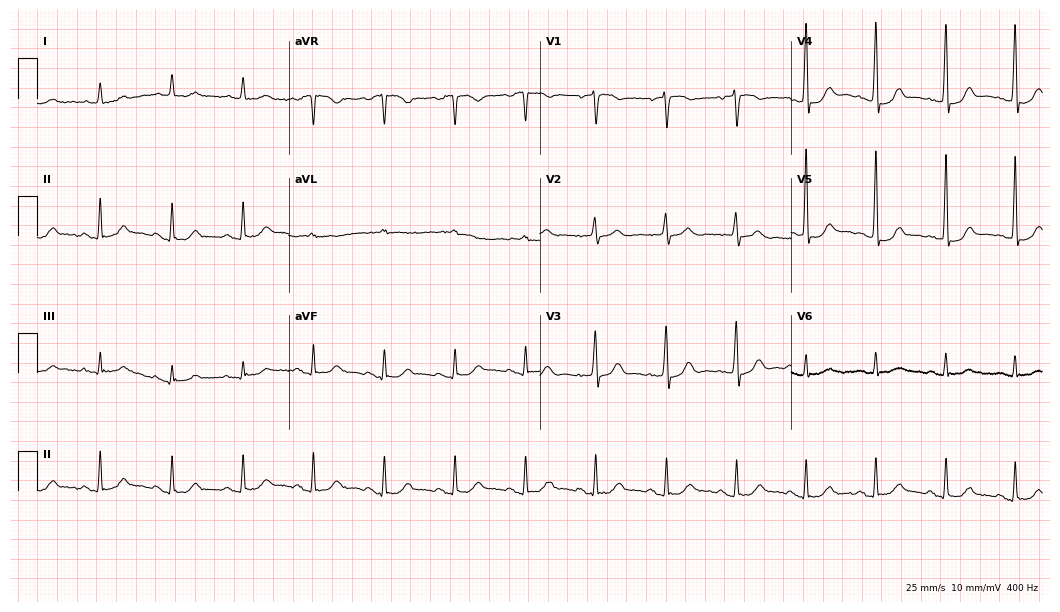
Resting 12-lead electrocardiogram (10.2-second recording at 400 Hz). Patient: an 85-year-old male. None of these six findings is recorded: first-degree AV block, right bundle branch block (RBBB), left bundle branch block (LBBB), sinus bradycardia, atrial fibrillation (AF), sinus tachycardia. Other findings, if any, are not listed.